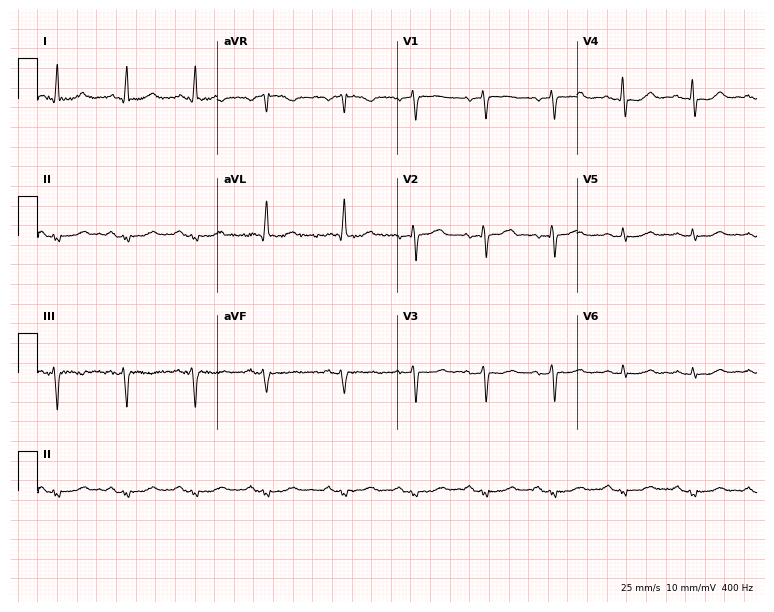
Resting 12-lead electrocardiogram (7.3-second recording at 400 Hz). Patient: a 68-year-old woman. None of these six findings is recorded: first-degree AV block, right bundle branch block (RBBB), left bundle branch block (LBBB), sinus bradycardia, atrial fibrillation (AF), sinus tachycardia.